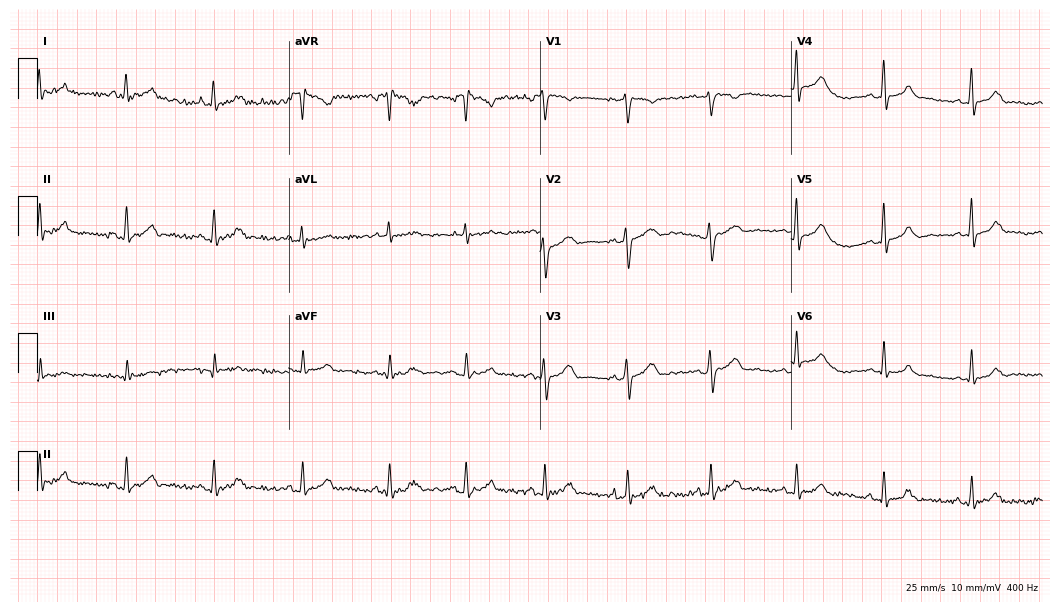
Resting 12-lead electrocardiogram (10.2-second recording at 400 Hz). Patient: a 41-year-old woman. None of these six findings is recorded: first-degree AV block, right bundle branch block, left bundle branch block, sinus bradycardia, atrial fibrillation, sinus tachycardia. Only these six findings were labelled.